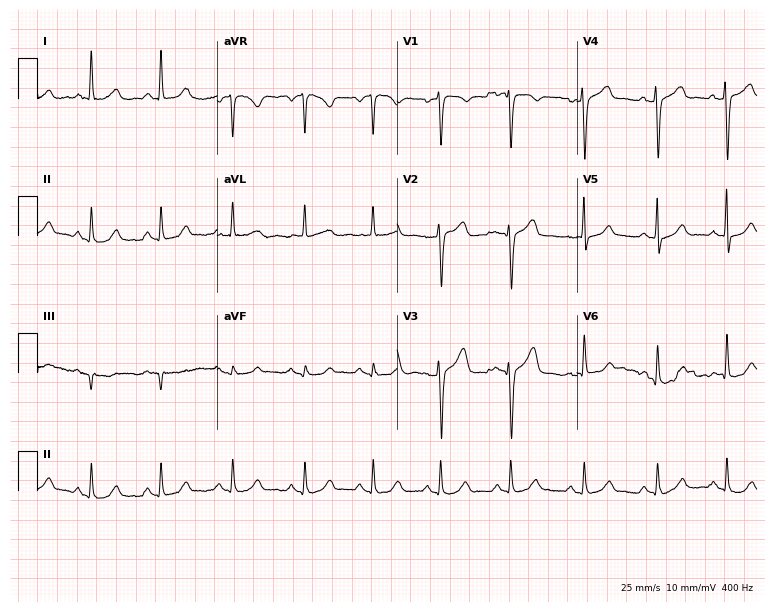
Electrocardiogram, a female, 57 years old. Overall reading on record: normal ECG.